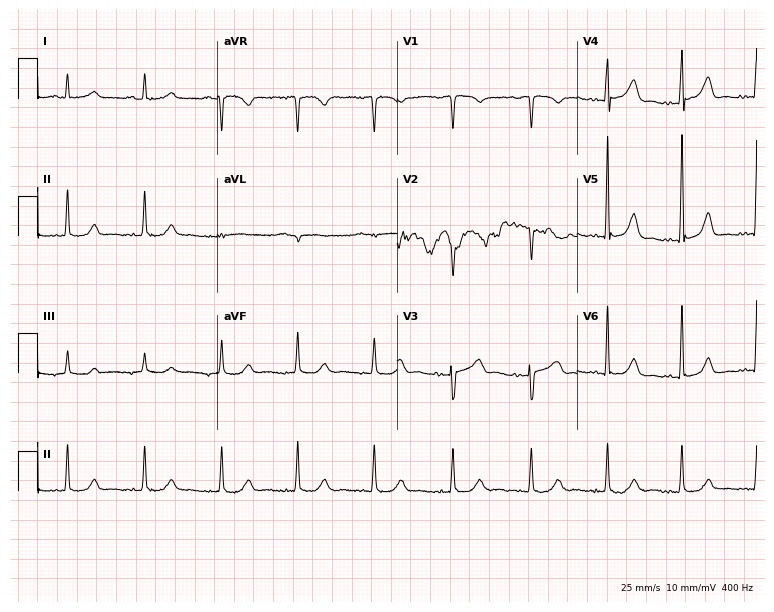
Electrocardiogram (7.3-second recording at 400 Hz), an 80-year-old female patient. Overall reading on record: normal ECG.